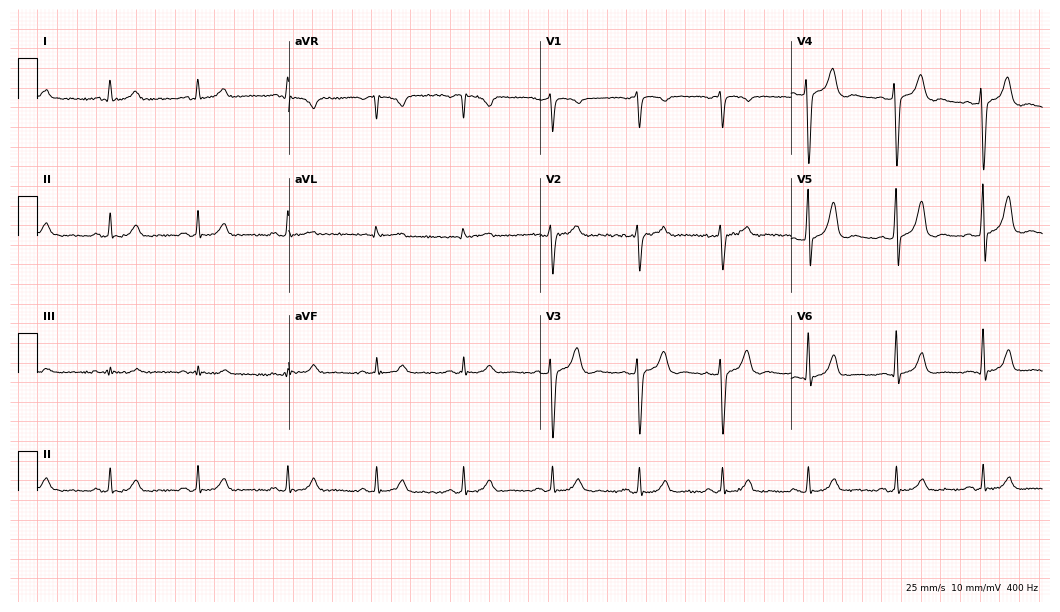
Standard 12-lead ECG recorded from a 35-year-old male patient. Read as a normal ECG.